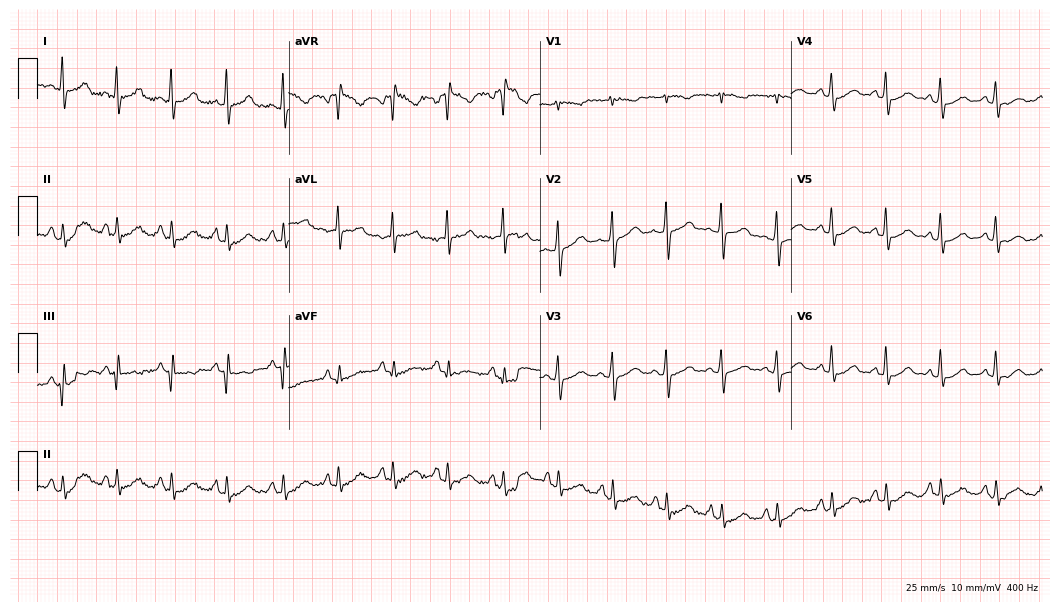
12-lead ECG from a woman, 36 years old. Shows sinus tachycardia (a sinus rate of 100 beats per minute or more).